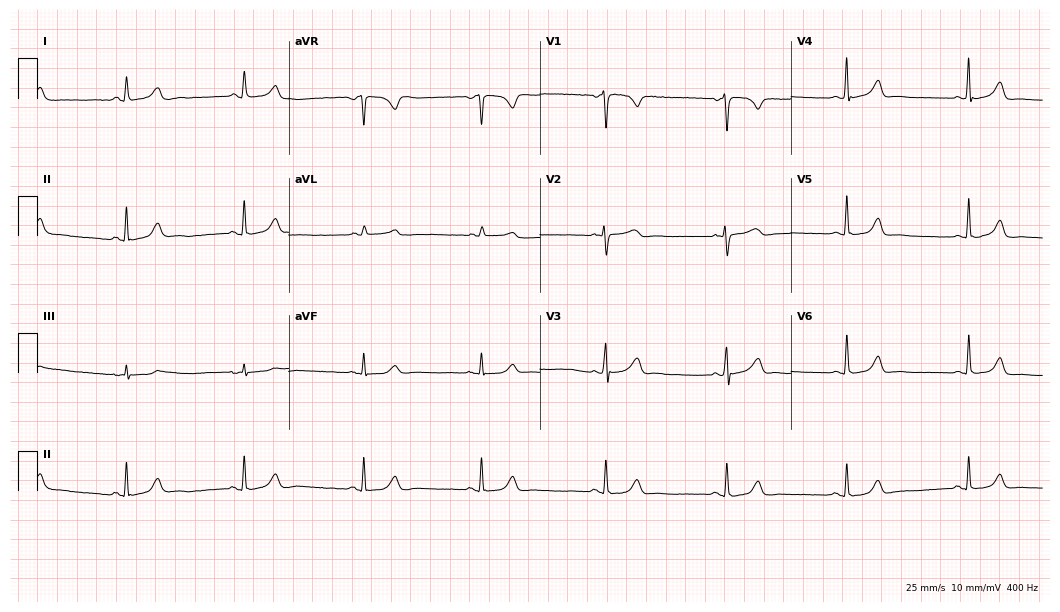
ECG (10.2-second recording at 400 Hz) — a female patient, 31 years old. Screened for six findings — first-degree AV block, right bundle branch block (RBBB), left bundle branch block (LBBB), sinus bradycardia, atrial fibrillation (AF), sinus tachycardia — none is recorded. Only these six findings were labelled.